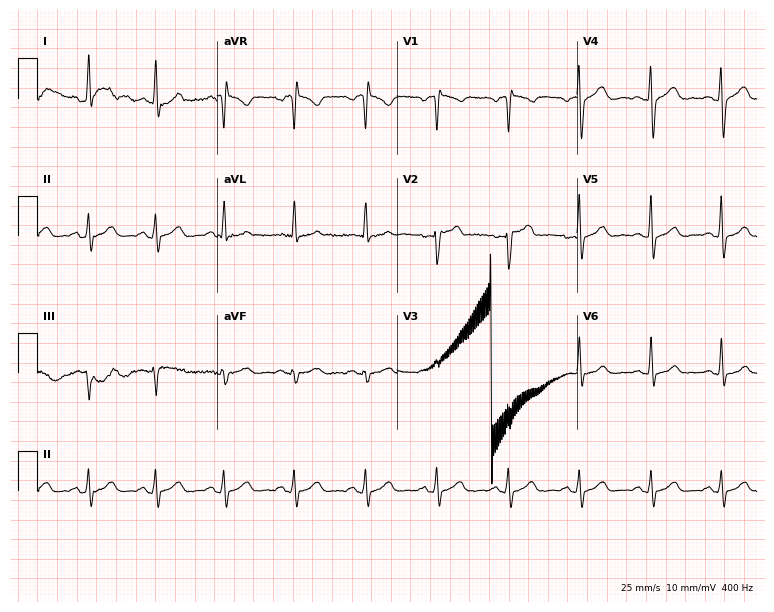
Electrocardiogram (7.3-second recording at 400 Hz), a male patient, 51 years old. Of the six screened findings (first-degree AV block, right bundle branch block (RBBB), left bundle branch block (LBBB), sinus bradycardia, atrial fibrillation (AF), sinus tachycardia), none is recorded. Only these six findings were labelled.